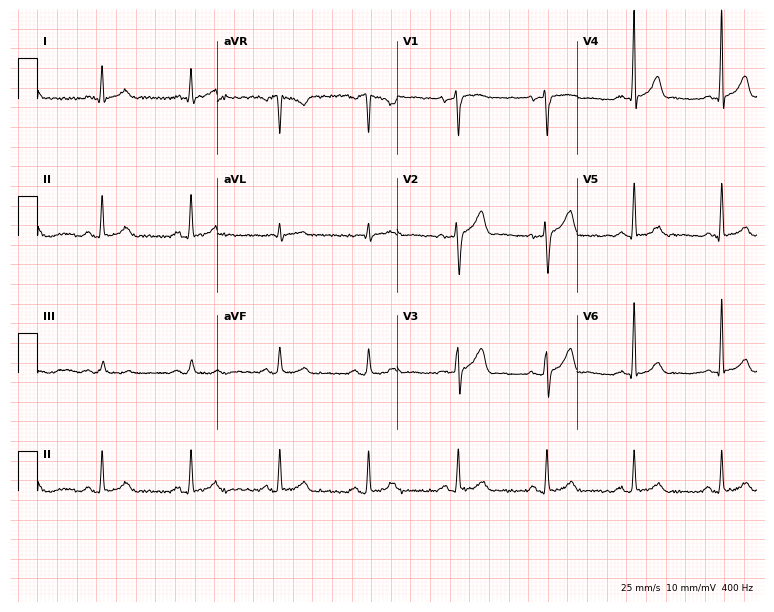
Resting 12-lead electrocardiogram (7.3-second recording at 400 Hz). Patient: a male, 66 years old. Read as a normal ECG.